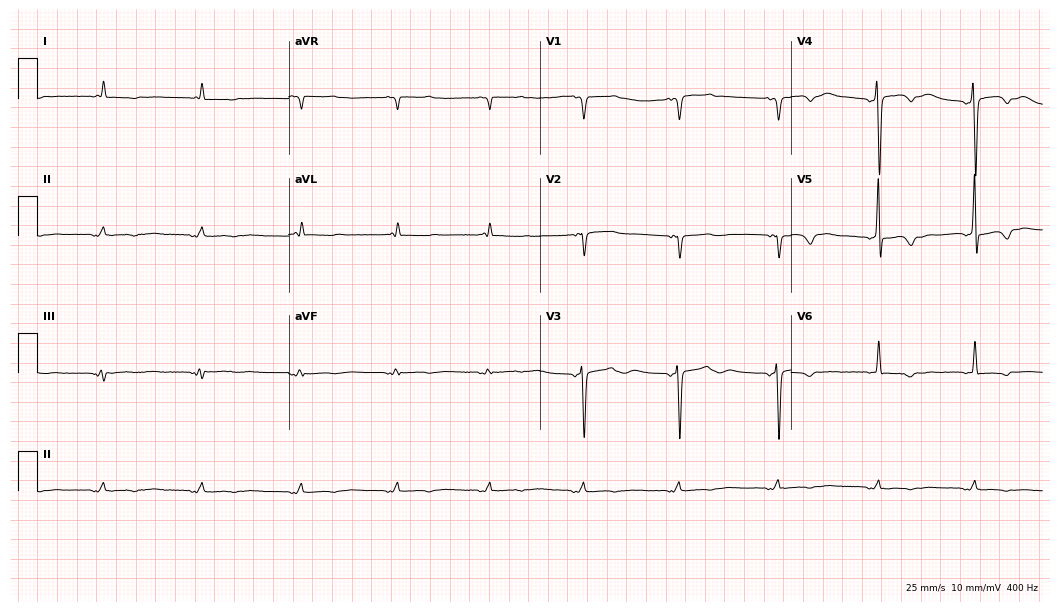
Standard 12-lead ECG recorded from an 85-year-old man. None of these six findings is recorded: first-degree AV block, right bundle branch block (RBBB), left bundle branch block (LBBB), sinus bradycardia, atrial fibrillation (AF), sinus tachycardia.